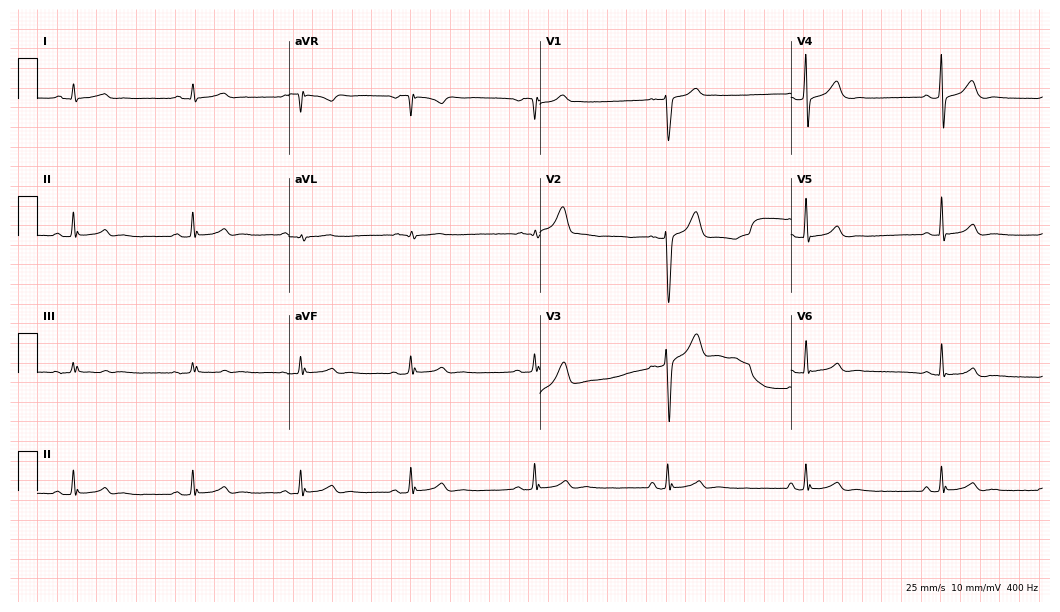
Resting 12-lead electrocardiogram. Patient: a male, 40 years old. None of these six findings is recorded: first-degree AV block, right bundle branch block, left bundle branch block, sinus bradycardia, atrial fibrillation, sinus tachycardia. Other findings, if any, are not listed.